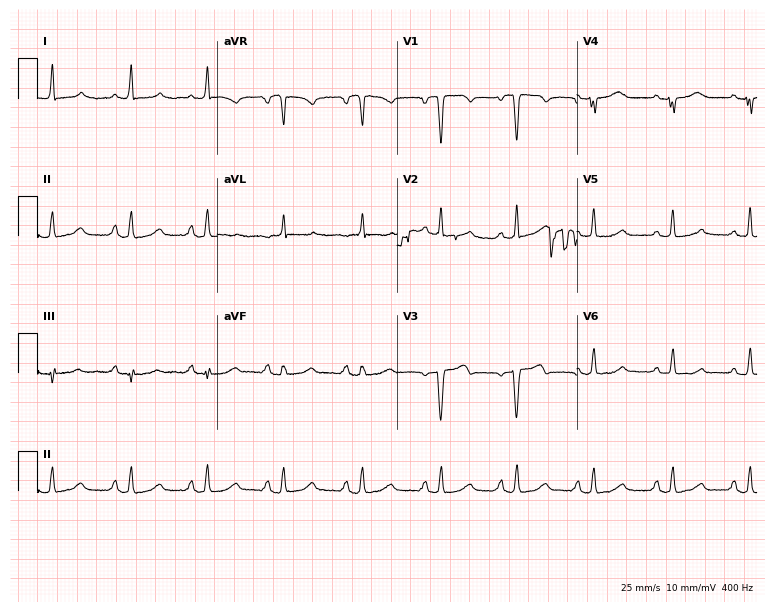
12-lead ECG from a female, 62 years old. Screened for six findings — first-degree AV block, right bundle branch block, left bundle branch block, sinus bradycardia, atrial fibrillation, sinus tachycardia — none is recorded. Other findings, if any, are not listed.